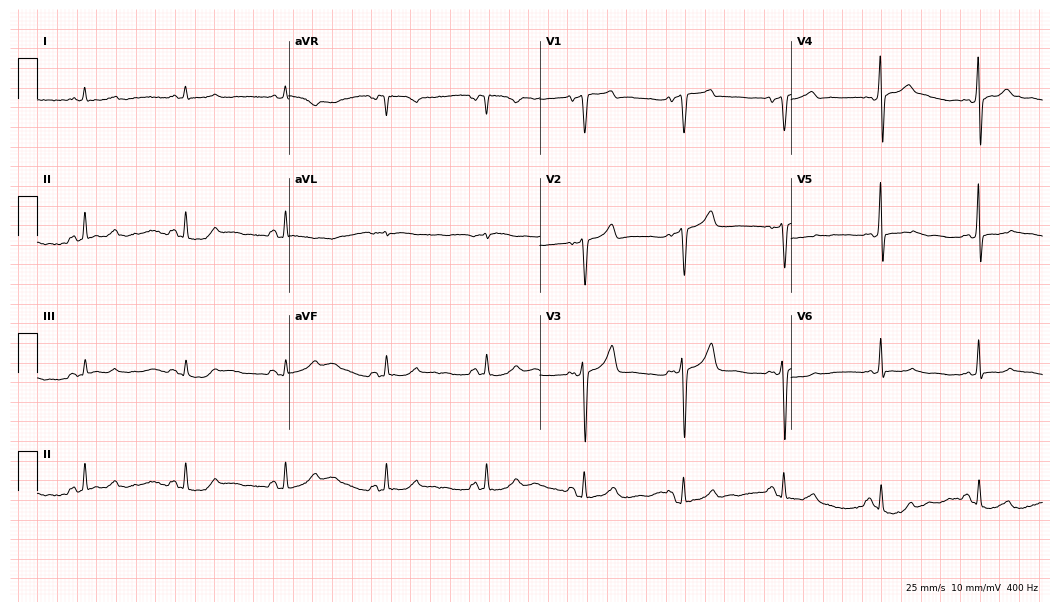
ECG — a male, 51 years old. Labelled as a normal ECG.